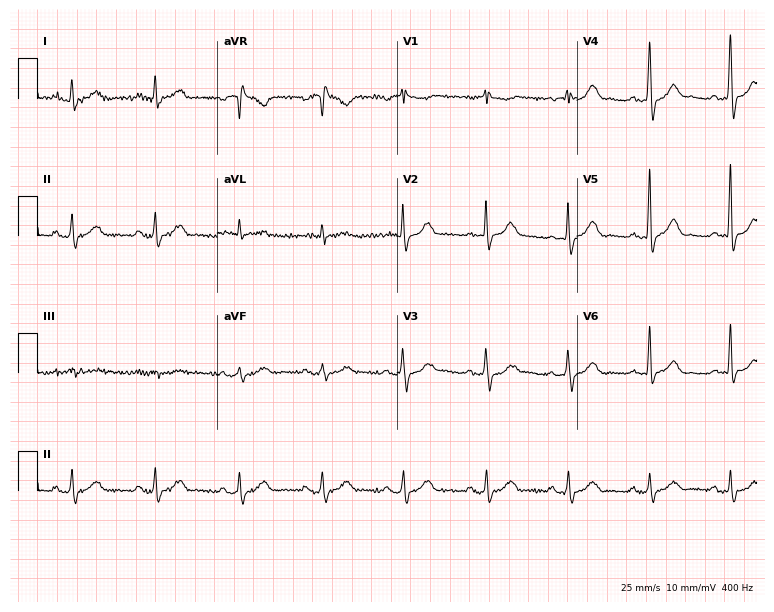
Standard 12-lead ECG recorded from a 75-year-old male patient (7.3-second recording at 400 Hz). Read as a normal ECG.